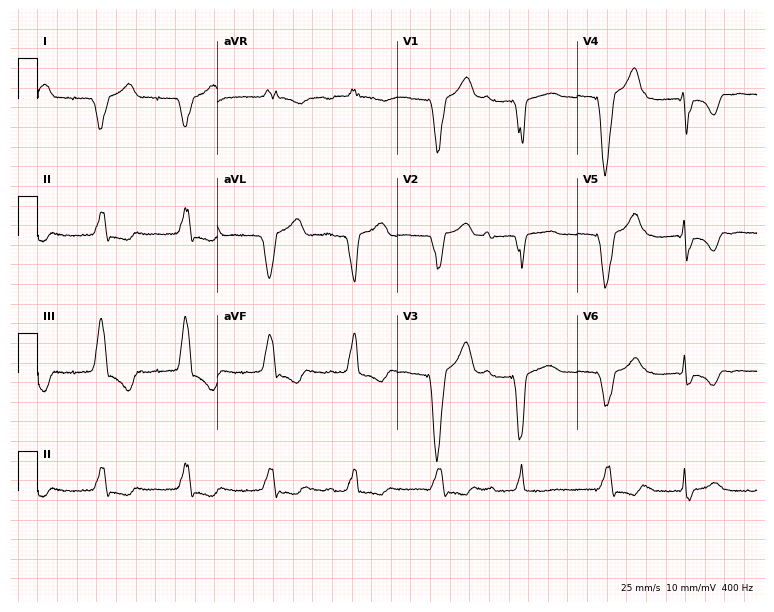
ECG (7.3-second recording at 400 Hz) — a man, 64 years old. Screened for six findings — first-degree AV block, right bundle branch block (RBBB), left bundle branch block (LBBB), sinus bradycardia, atrial fibrillation (AF), sinus tachycardia — none is recorded. Only these six findings were labelled.